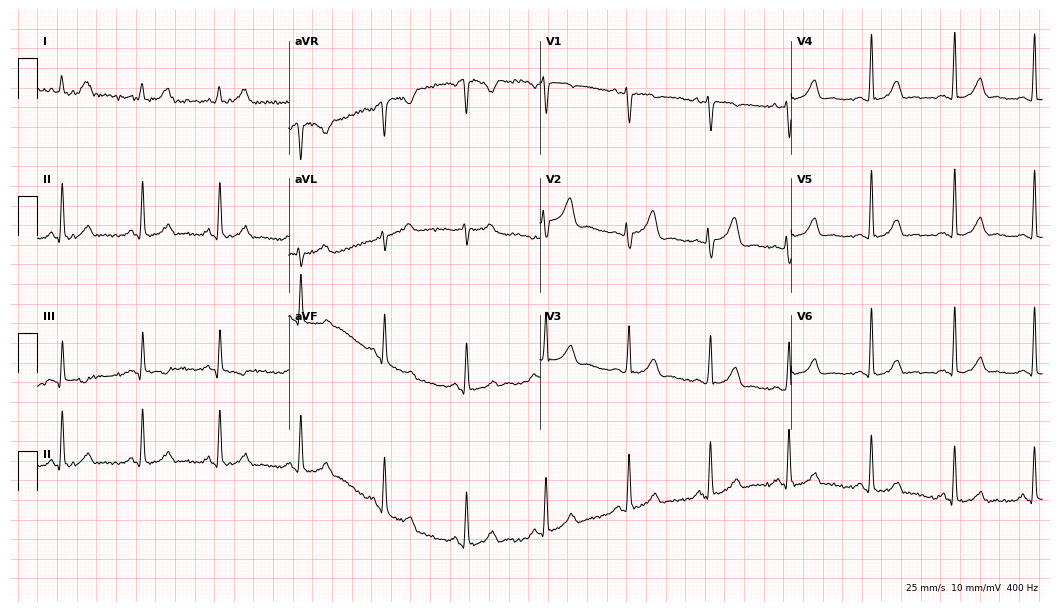
Electrocardiogram (10.2-second recording at 400 Hz), a female patient, 28 years old. Overall reading on record: normal ECG.